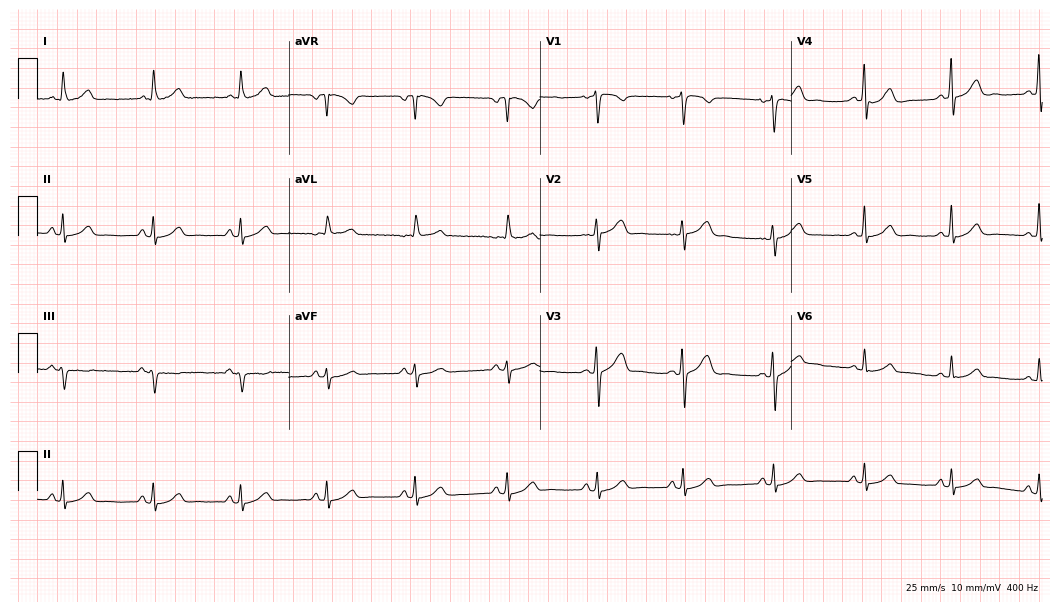
12-lead ECG from a female patient, 43 years old. Labelled as a normal ECG.